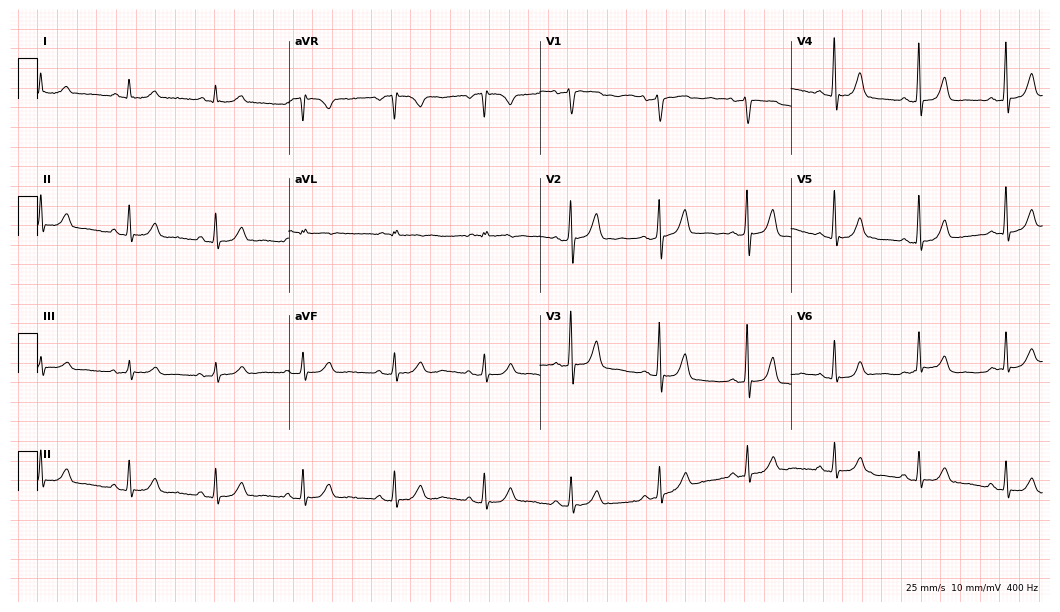
Electrocardiogram (10.2-second recording at 400 Hz), a 65-year-old woman. Overall reading on record: normal ECG.